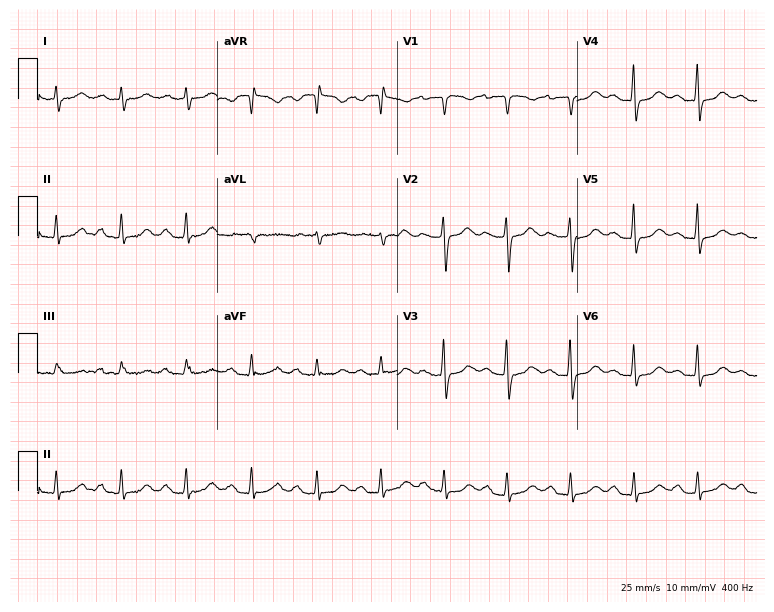
12-lead ECG from a female, 52 years old (7.3-second recording at 400 Hz). Shows first-degree AV block.